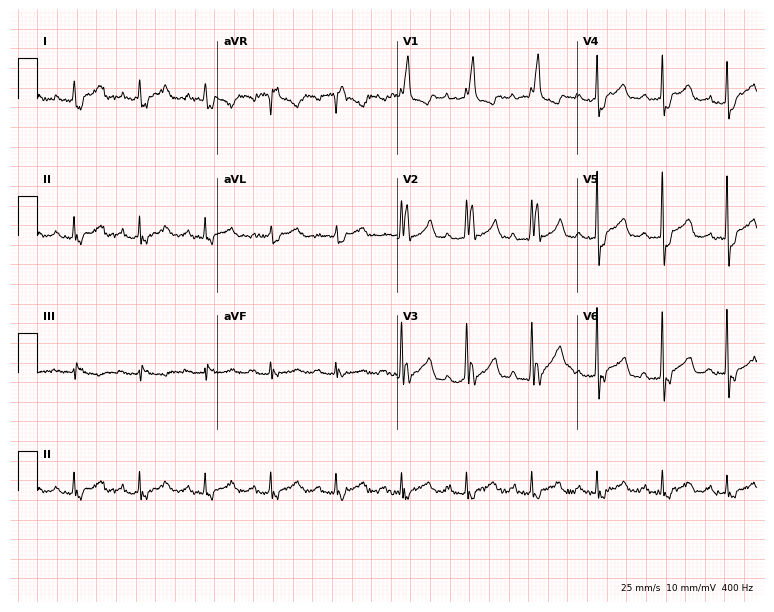
ECG — an 84-year-old male patient. Findings include right bundle branch block.